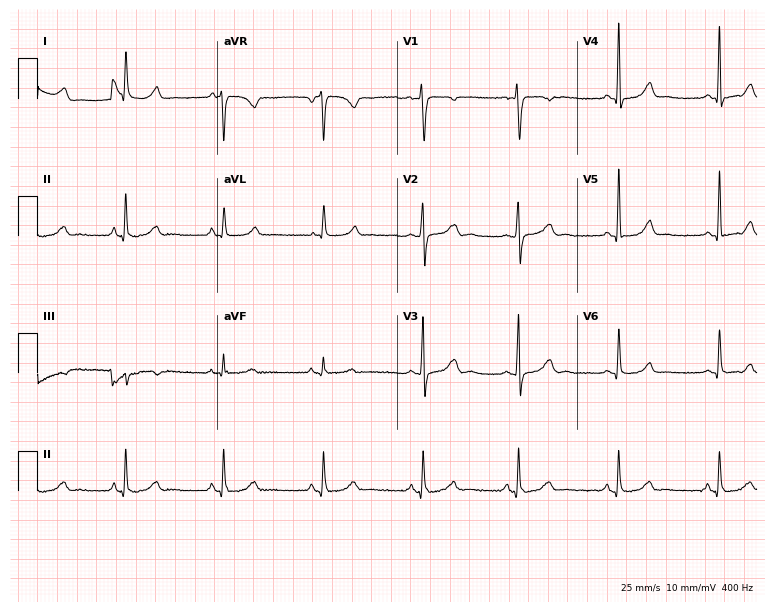
ECG (7.3-second recording at 400 Hz) — a 36-year-old woman. Labelled as a normal ECG.